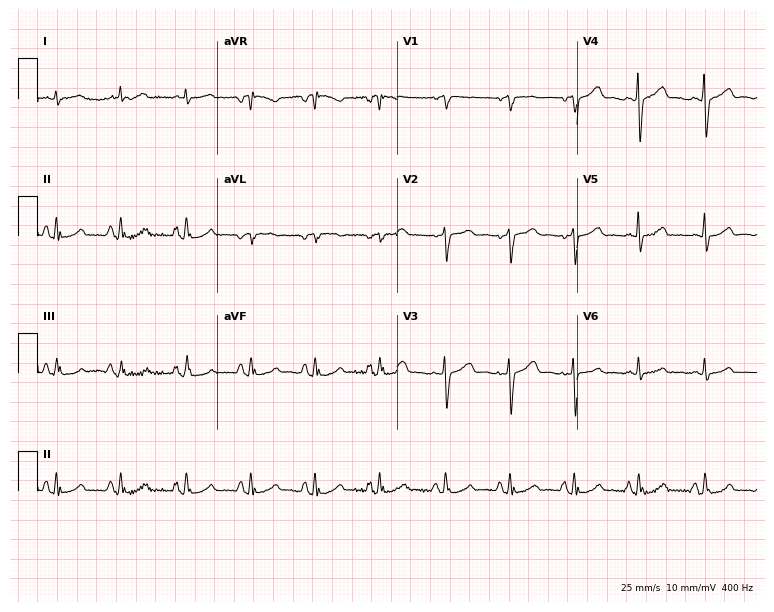
Electrocardiogram (7.3-second recording at 400 Hz), a male patient, 80 years old. Overall reading on record: normal ECG.